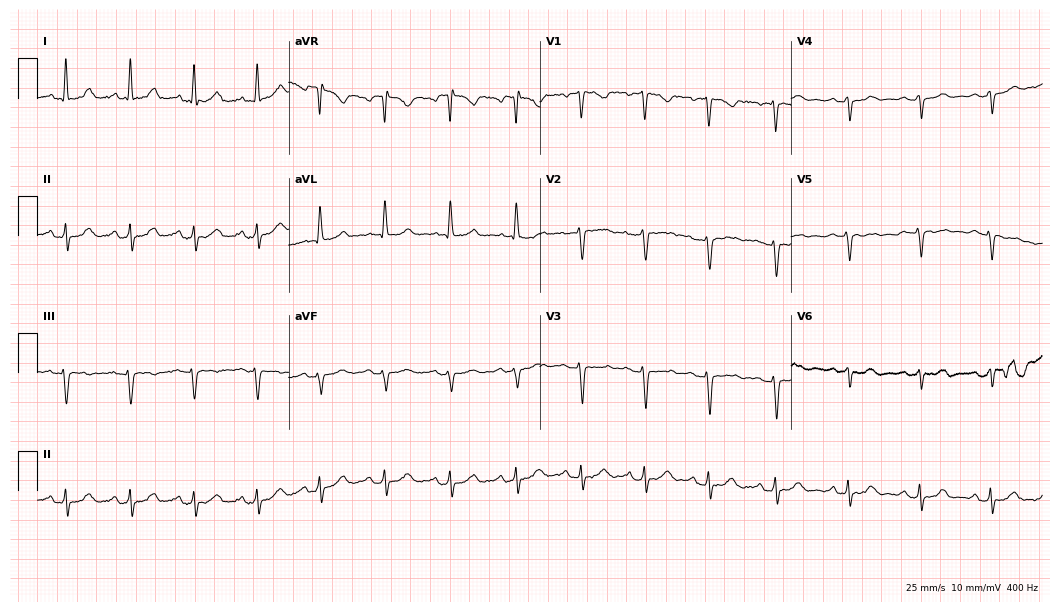
Electrocardiogram, a 44-year-old woman. Of the six screened findings (first-degree AV block, right bundle branch block, left bundle branch block, sinus bradycardia, atrial fibrillation, sinus tachycardia), none is recorded. Only these six findings were labelled.